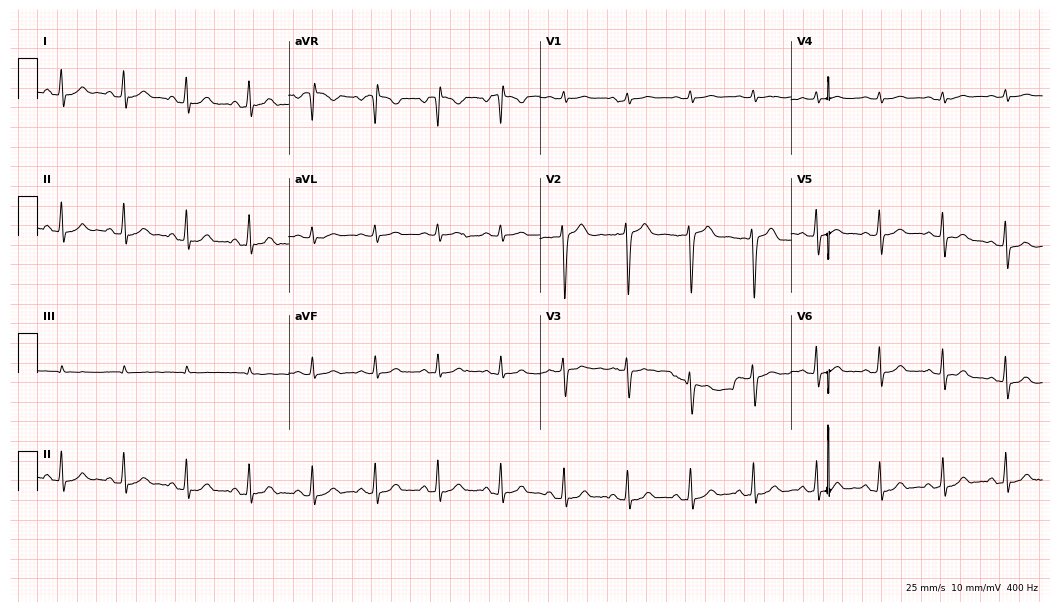
Standard 12-lead ECG recorded from a female, 45 years old (10.2-second recording at 400 Hz). Read as a normal ECG.